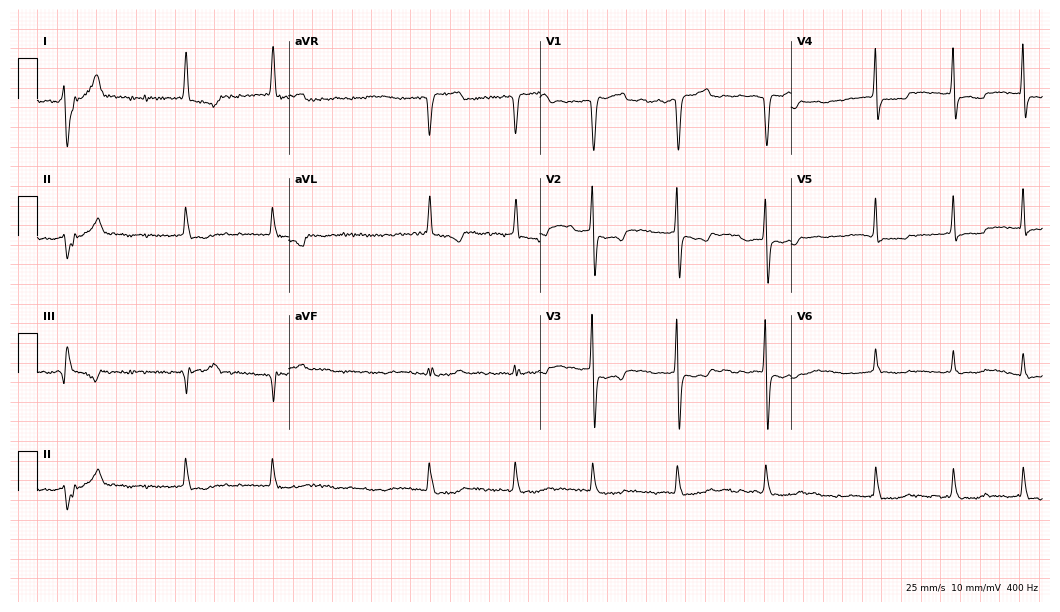
ECG — an 82-year-old female patient. Screened for six findings — first-degree AV block, right bundle branch block, left bundle branch block, sinus bradycardia, atrial fibrillation, sinus tachycardia — none is recorded.